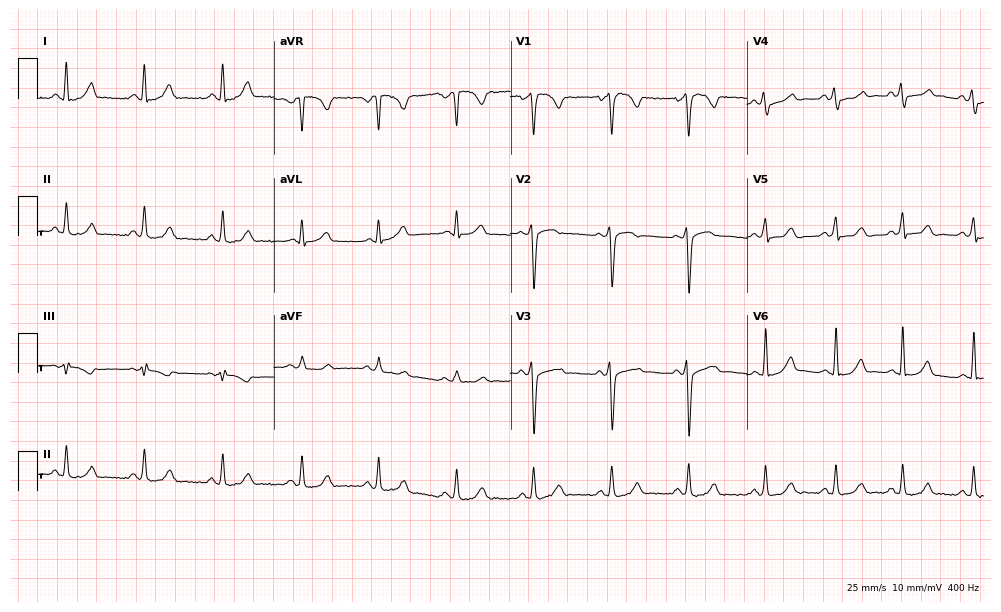
12-lead ECG from a 23-year-old female patient (9.6-second recording at 400 Hz). No first-degree AV block, right bundle branch block (RBBB), left bundle branch block (LBBB), sinus bradycardia, atrial fibrillation (AF) or sinus tachycardia recorded for this tracing. Other findings, if any, are not listed.